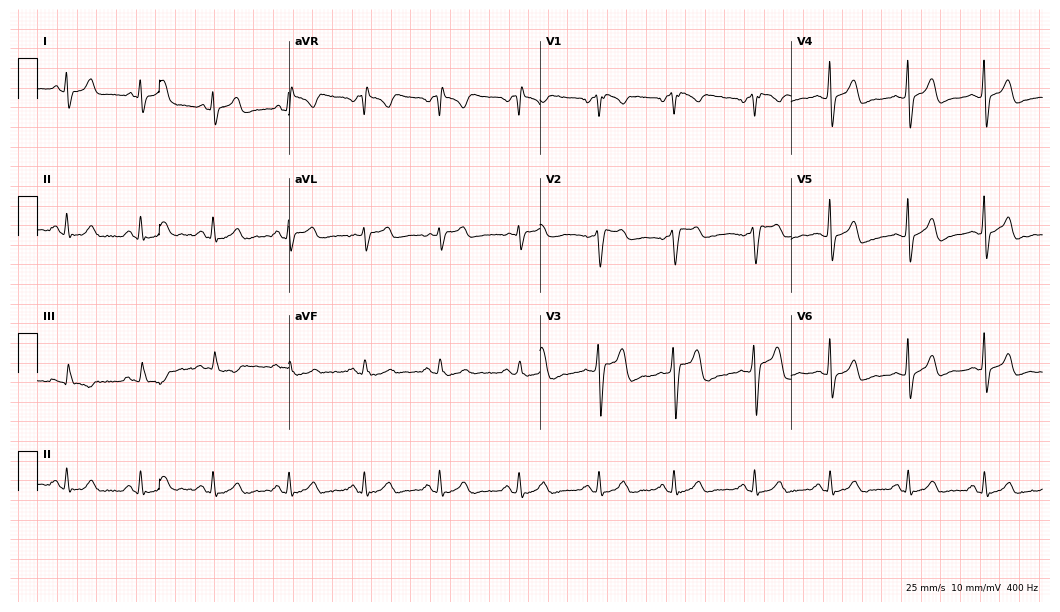
Standard 12-lead ECG recorded from a 39-year-old male (10.2-second recording at 400 Hz). Read as a normal ECG.